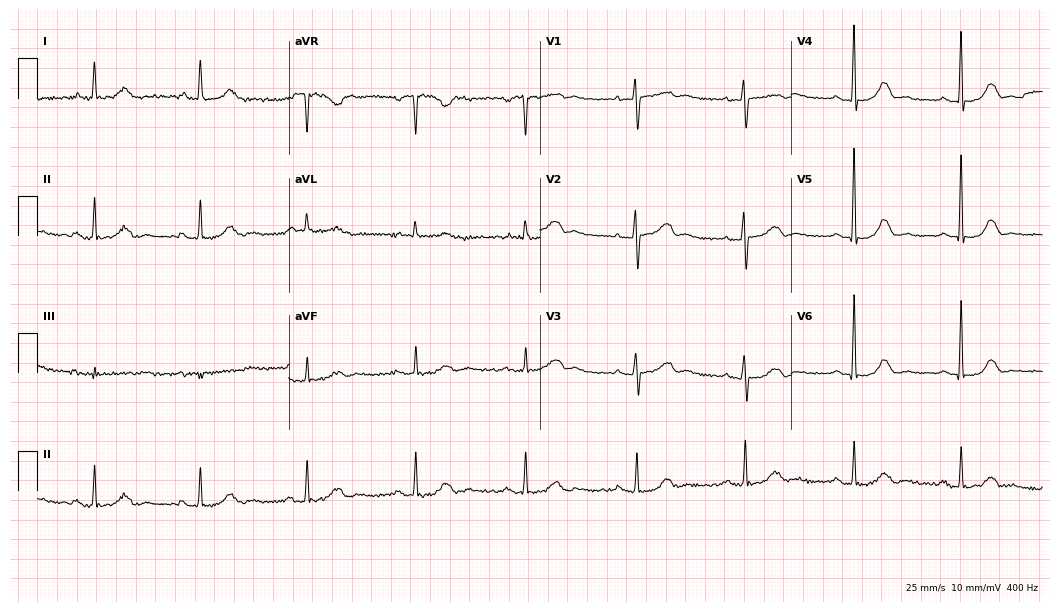
Resting 12-lead electrocardiogram (10.2-second recording at 400 Hz). Patient: a 78-year-old female. None of these six findings is recorded: first-degree AV block, right bundle branch block (RBBB), left bundle branch block (LBBB), sinus bradycardia, atrial fibrillation (AF), sinus tachycardia. Findings outside these six are not listed.